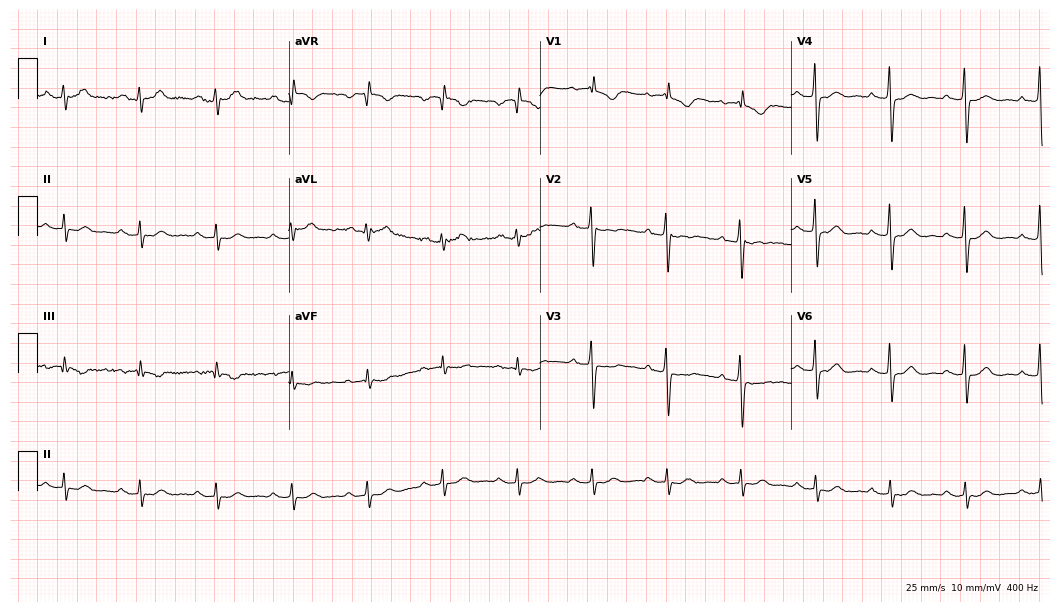
12-lead ECG from a 55-year-old female patient. Recorded interpretation: within normal limits.